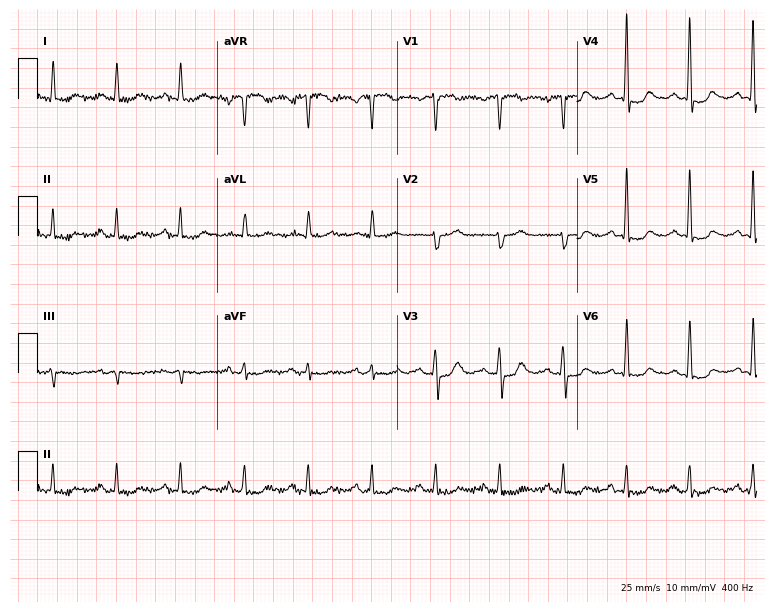
12-lead ECG from a 79-year-old woman (7.3-second recording at 400 Hz). No first-degree AV block, right bundle branch block (RBBB), left bundle branch block (LBBB), sinus bradycardia, atrial fibrillation (AF) or sinus tachycardia recorded for this tracing. Findings outside these six are not listed.